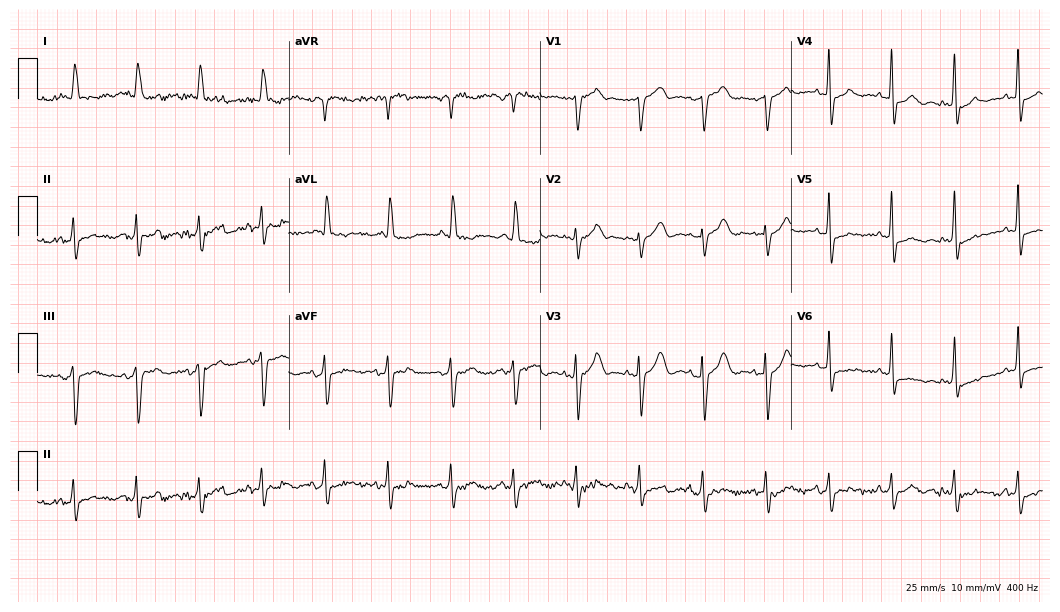
Electrocardiogram, an 83-year-old female. Of the six screened findings (first-degree AV block, right bundle branch block (RBBB), left bundle branch block (LBBB), sinus bradycardia, atrial fibrillation (AF), sinus tachycardia), none is recorded. Findings outside these six are not listed.